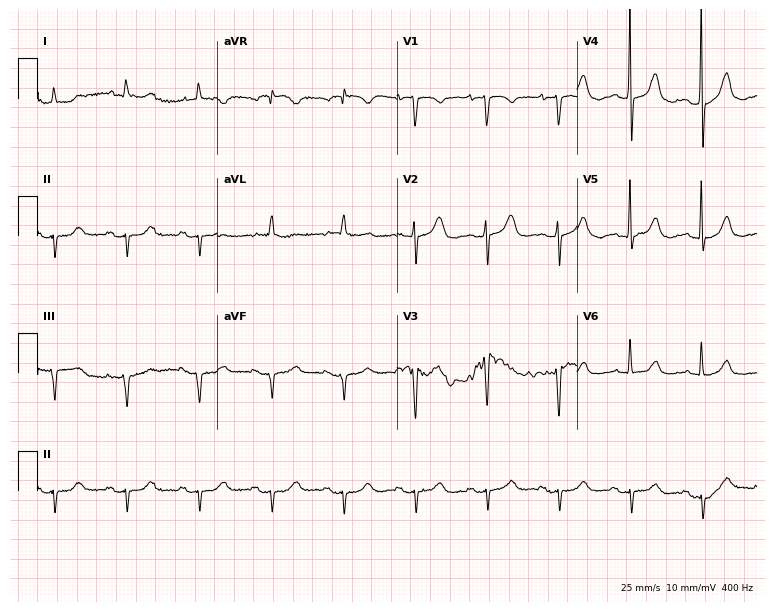
ECG — a woman, 85 years old. Screened for six findings — first-degree AV block, right bundle branch block (RBBB), left bundle branch block (LBBB), sinus bradycardia, atrial fibrillation (AF), sinus tachycardia — none is recorded. Other findings, if any, are not listed.